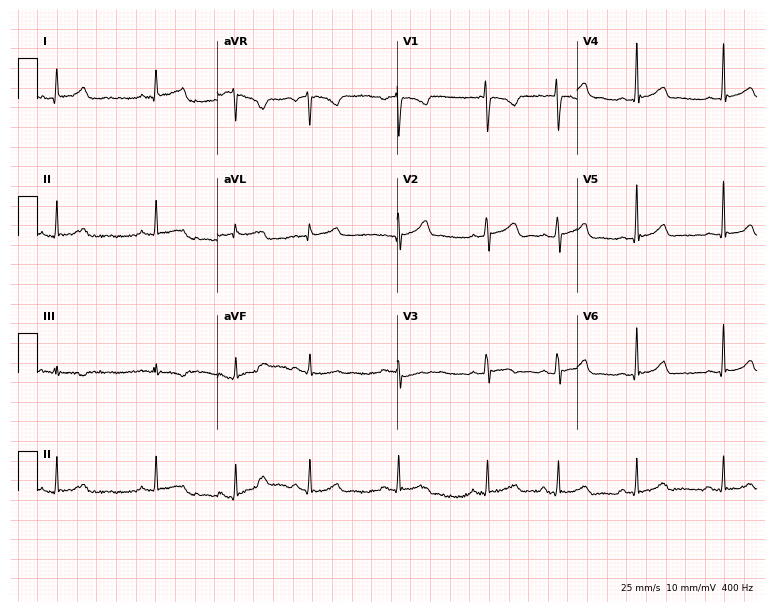
Resting 12-lead electrocardiogram. Patient: a female, 22 years old. None of these six findings is recorded: first-degree AV block, right bundle branch block, left bundle branch block, sinus bradycardia, atrial fibrillation, sinus tachycardia. Findings outside these six are not listed.